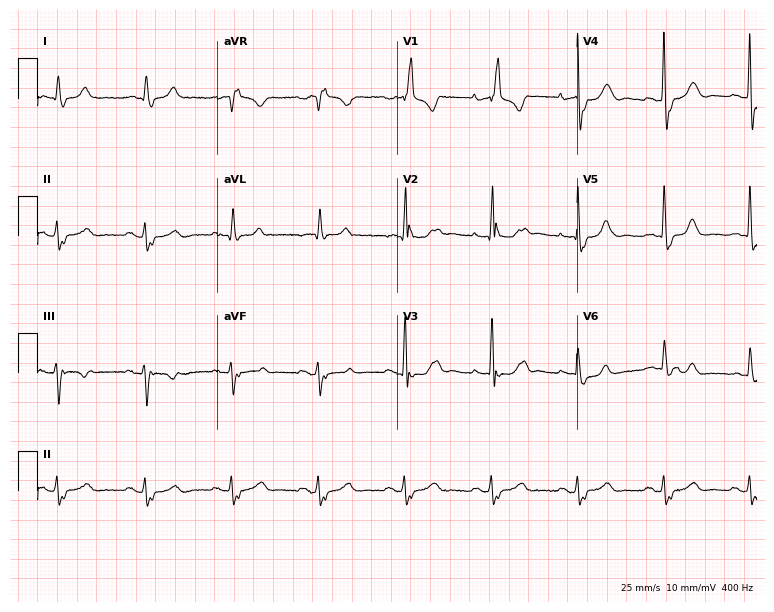
12-lead ECG from a male patient, 79 years old. No first-degree AV block, right bundle branch block, left bundle branch block, sinus bradycardia, atrial fibrillation or sinus tachycardia recorded for this tracing. Only these six findings were labelled.